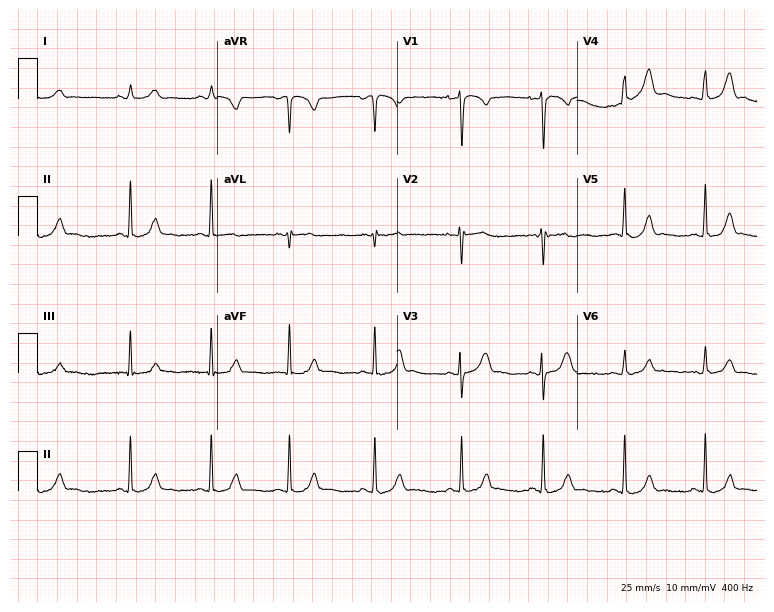
12-lead ECG from a 21-year-old female. Recorded interpretation: within normal limits.